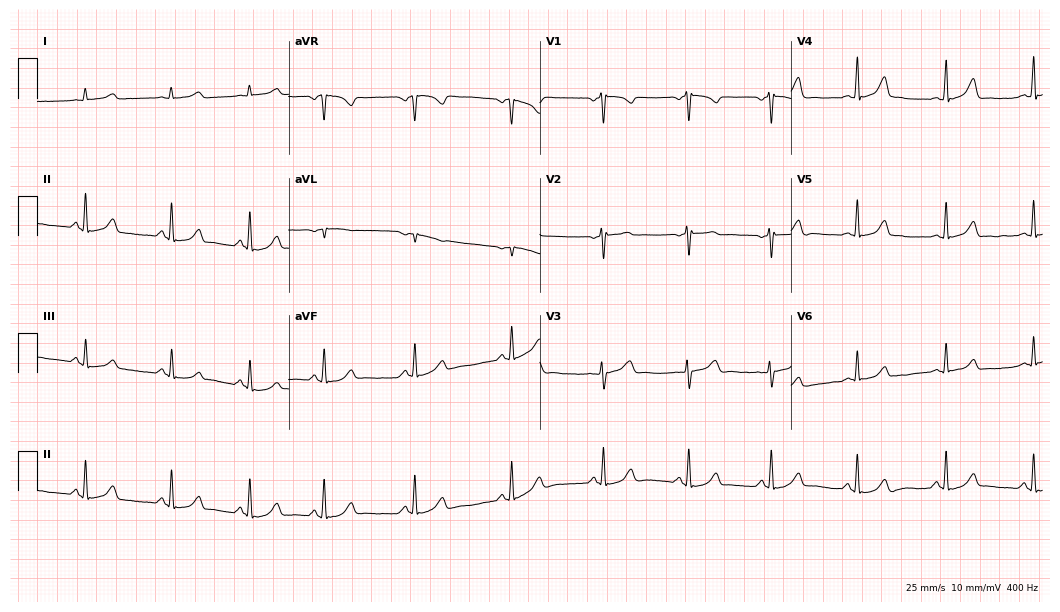
ECG — a female, 26 years old. Labelled as a normal ECG.